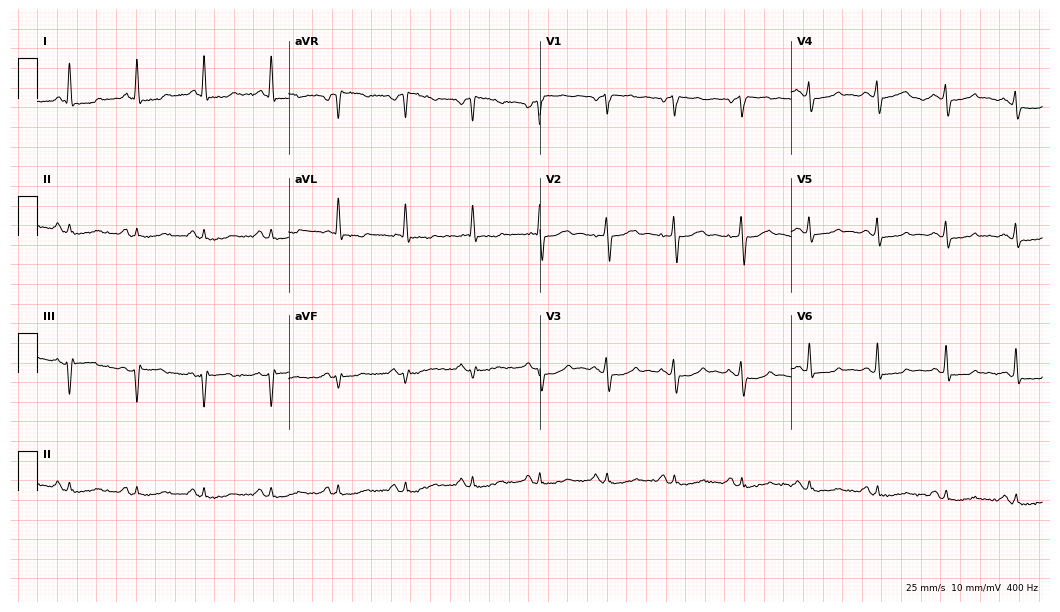
12-lead ECG (10.2-second recording at 400 Hz) from a male patient, 70 years old. Screened for six findings — first-degree AV block, right bundle branch block, left bundle branch block, sinus bradycardia, atrial fibrillation, sinus tachycardia — none is recorded. Other findings, if any, are not listed.